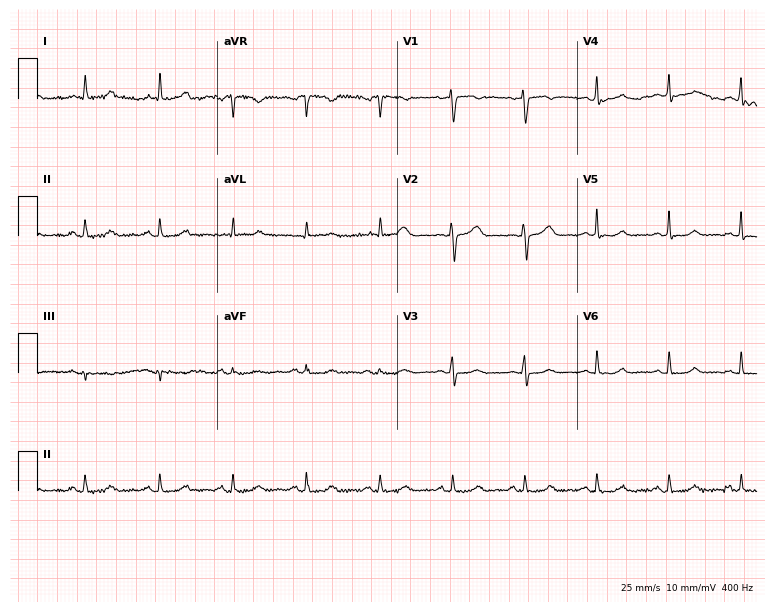
Resting 12-lead electrocardiogram (7.3-second recording at 400 Hz). Patient: a woman, 50 years old. Read as a normal ECG.